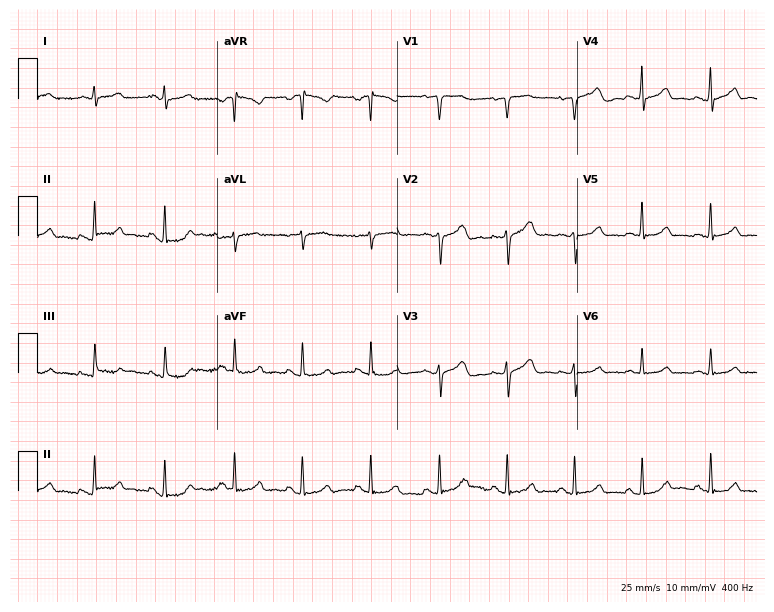
Resting 12-lead electrocardiogram (7.3-second recording at 400 Hz). Patient: a female, 54 years old. Read as a normal ECG.